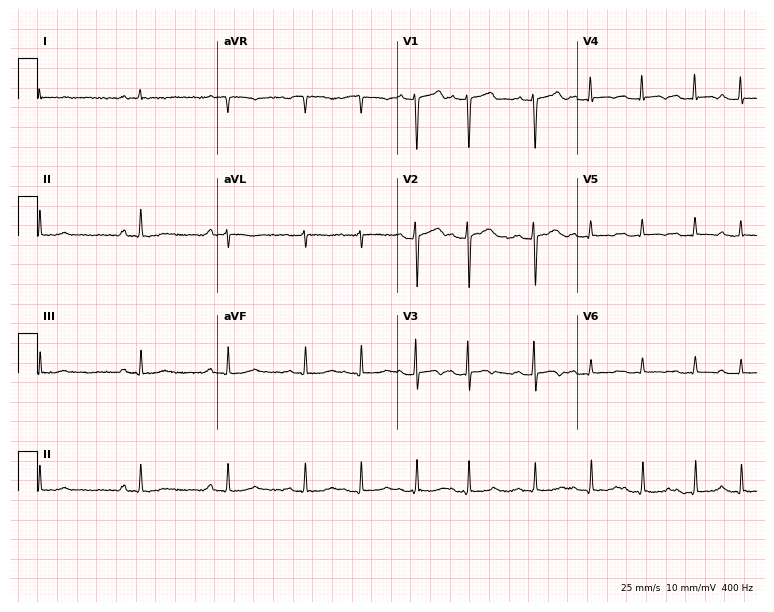
Standard 12-lead ECG recorded from a male patient, 61 years old (7.3-second recording at 400 Hz). None of these six findings is recorded: first-degree AV block, right bundle branch block (RBBB), left bundle branch block (LBBB), sinus bradycardia, atrial fibrillation (AF), sinus tachycardia.